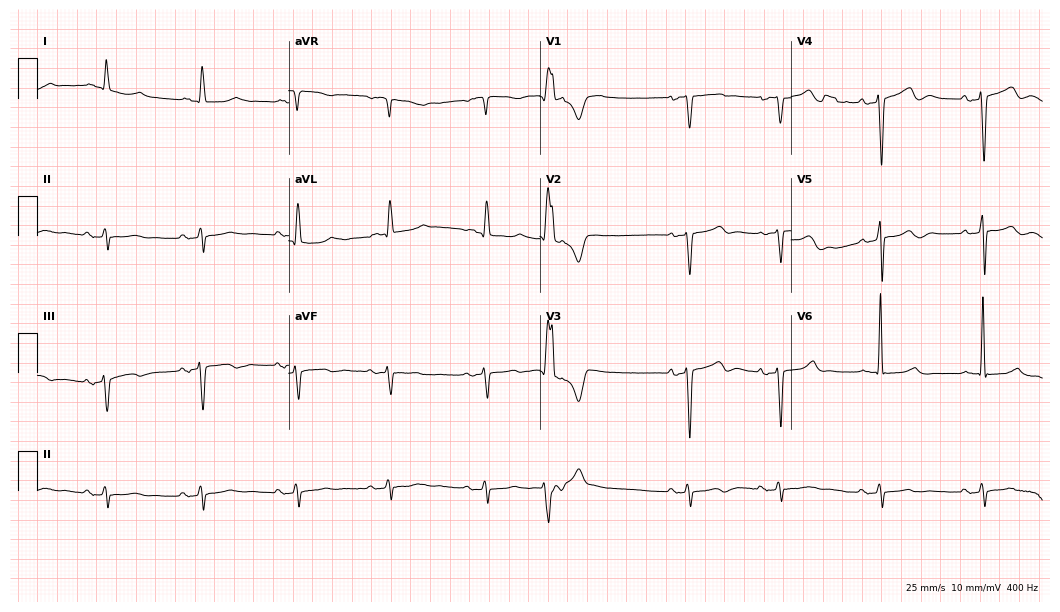
Electrocardiogram, a female, 70 years old. Of the six screened findings (first-degree AV block, right bundle branch block (RBBB), left bundle branch block (LBBB), sinus bradycardia, atrial fibrillation (AF), sinus tachycardia), none is recorded. Other findings, if any, are not listed.